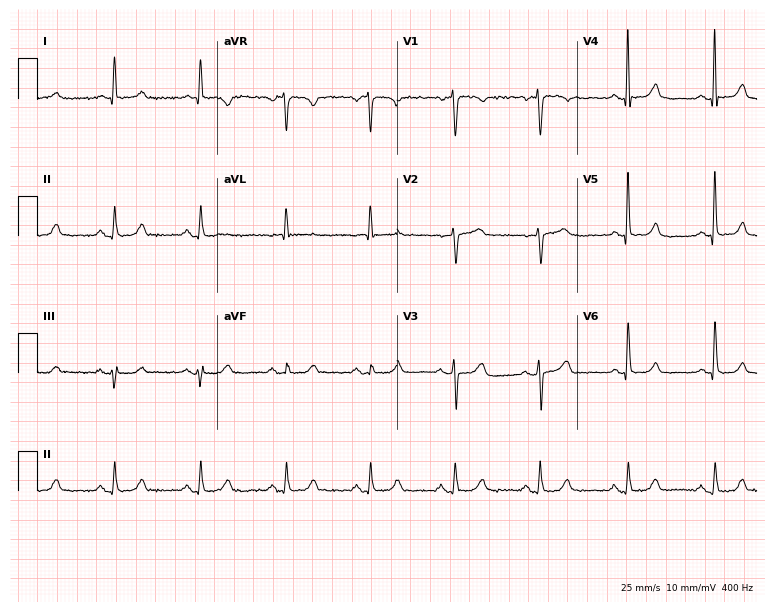
12-lead ECG from a woman, 64 years old (7.3-second recording at 400 Hz). Recorded interpretation: within normal limits.